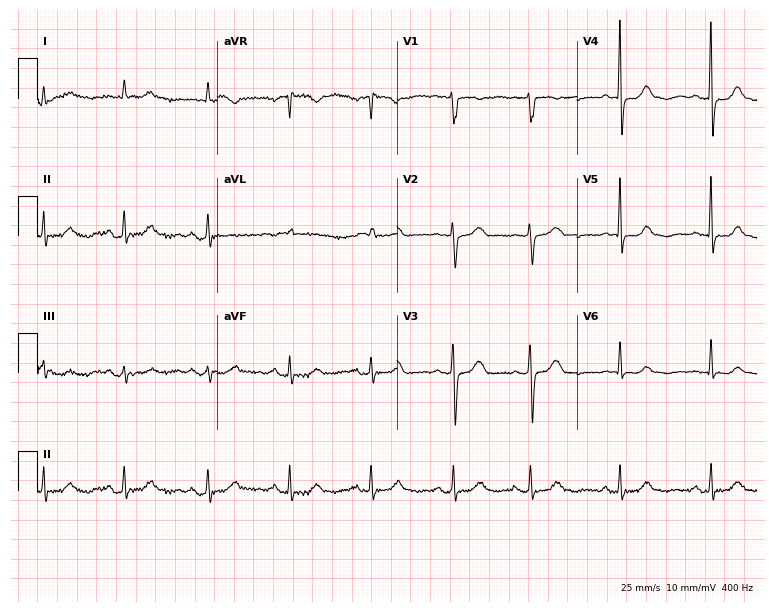
Electrocardiogram, a 64-year-old woman. Overall reading on record: normal ECG.